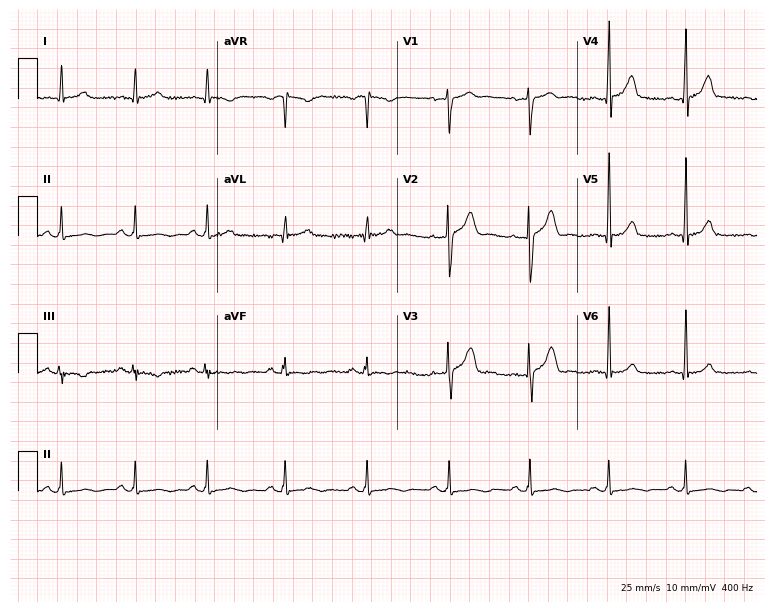
Resting 12-lead electrocardiogram (7.3-second recording at 400 Hz). Patient: a male, 29 years old. Read as a normal ECG.